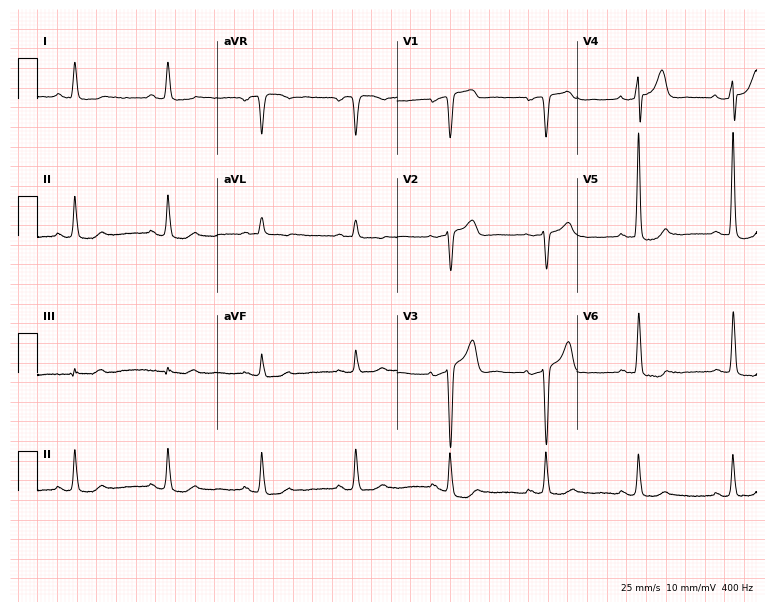
Resting 12-lead electrocardiogram (7.3-second recording at 400 Hz). Patient: a 76-year-old male. None of these six findings is recorded: first-degree AV block, right bundle branch block (RBBB), left bundle branch block (LBBB), sinus bradycardia, atrial fibrillation (AF), sinus tachycardia.